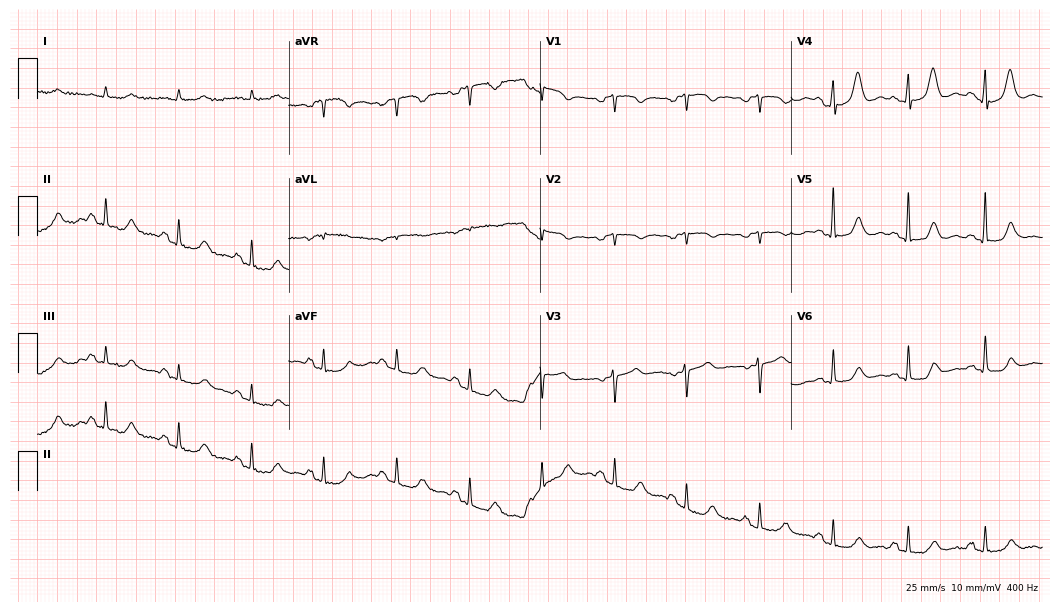
ECG — an 81-year-old woman. Screened for six findings — first-degree AV block, right bundle branch block (RBBB), left bundle branch block (LBBB), sinus bradycardia, atrial fibrillation (AF), sinus tachycardia — none is recorded.